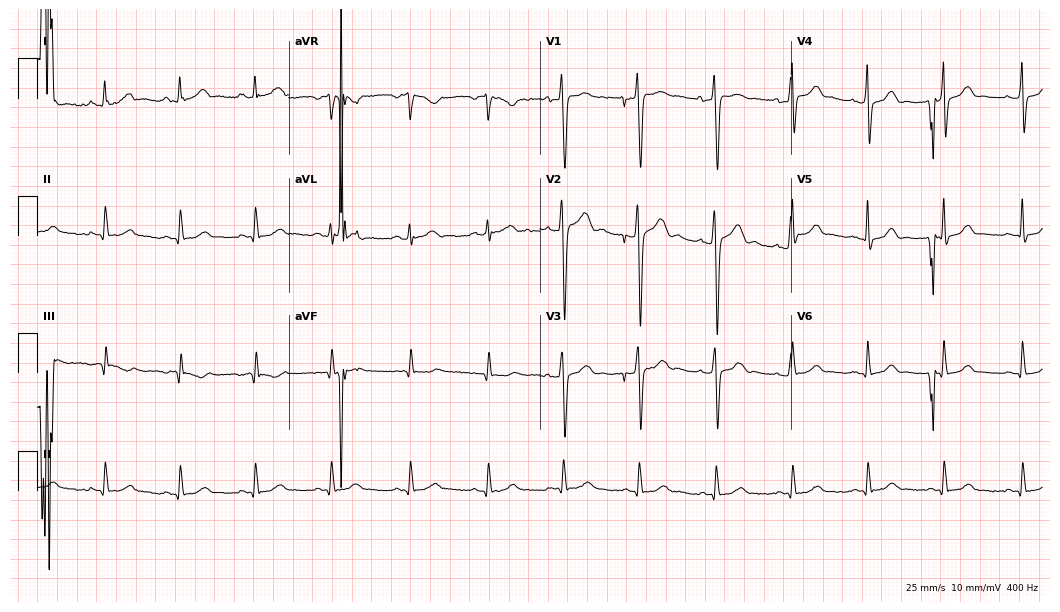
12-lead ECG (10.2-second recording at 400 Hz) from a male, 35 years old. Screened for six findings — first-degree AV block, right bundle branch block, left bundle branch block, sinus bradycardia, atrial fibrillation, sinus tachycardia — none is recorded. Only these six findings were labelled.